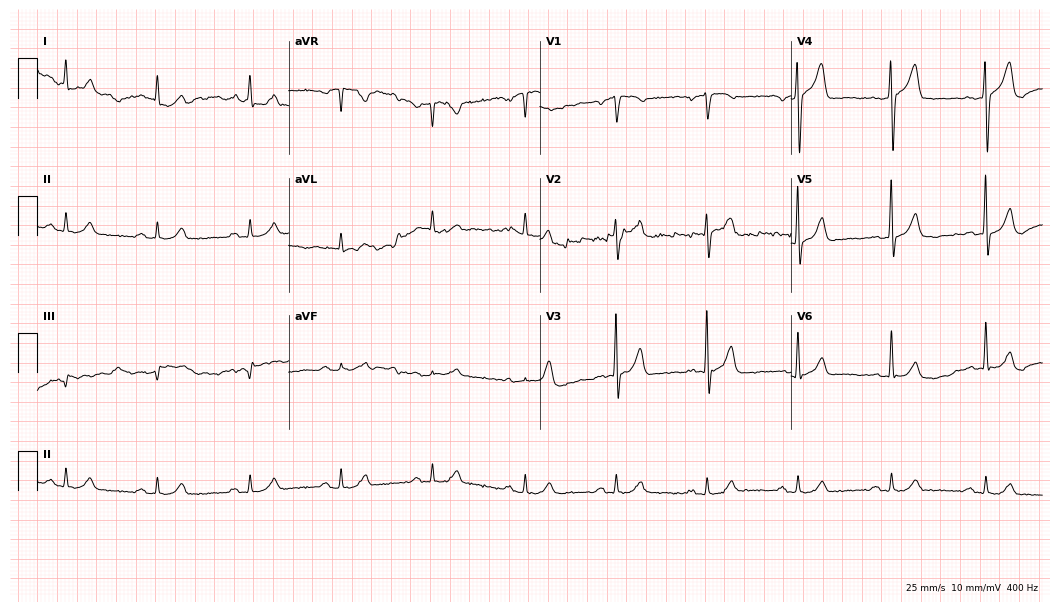
Standard 12-lead ECG recorded from a 75-year-old man. None of these six findings is recorded: first-degree AV block, right bundle branch block (RBBB), left bundle branch block (LBBB), sinus bradycardia, atrial fibrillation (AF), sinus tachycardia.